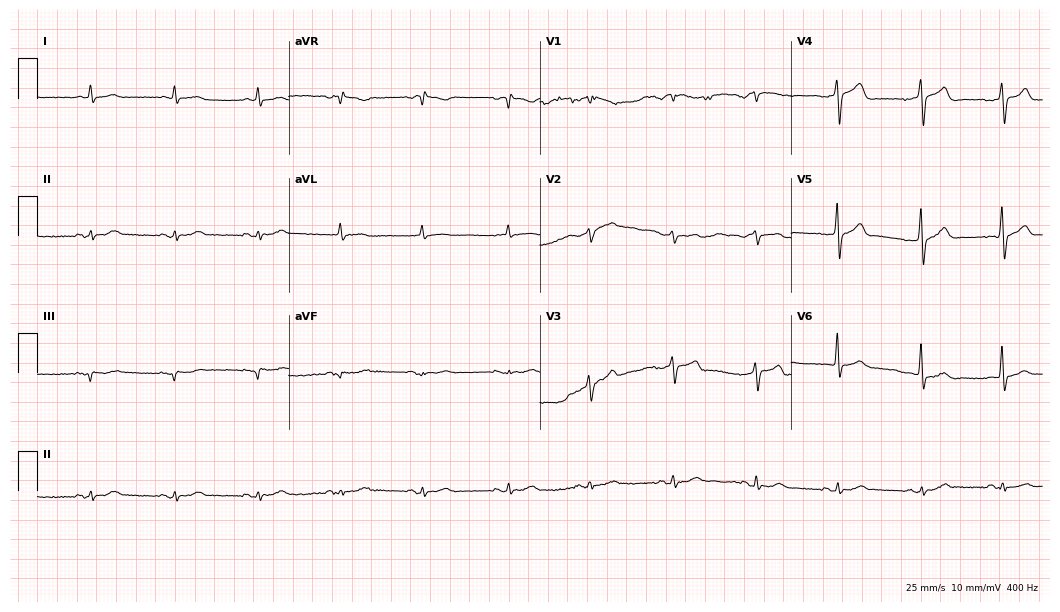
Resting 12-lead electrocardiogram (10.2-second recording at 400 Hz). Patient: a male, 82 years old. Read as a normal ECG.